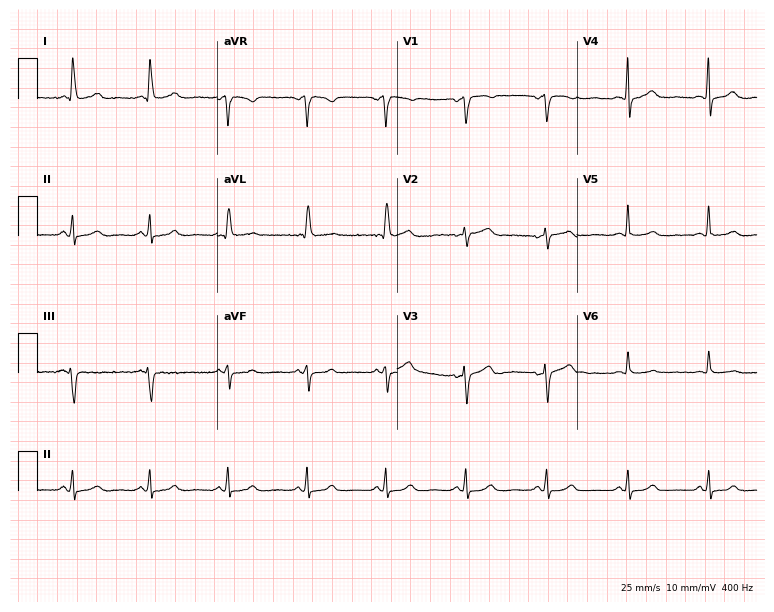
Standard 12-lead ECG recorded from a female patient, 66 years old. Read as a normal ECG.